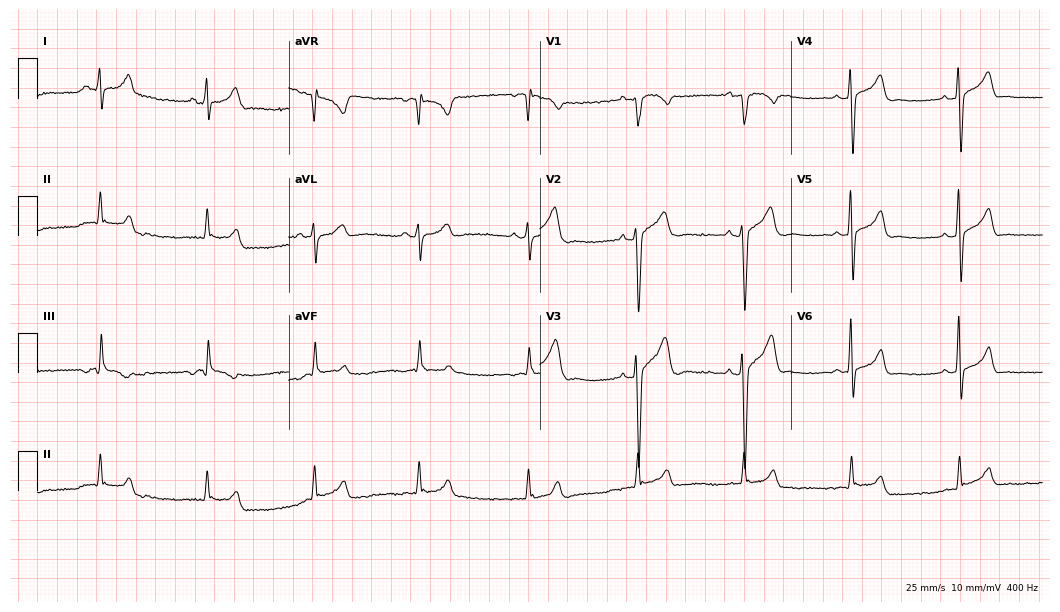
Standard 12-lead ECG recorded from a 39-year-old male patient. None of these six findings is recorded: first-degree AV block, right bundle branch block (RBBB), left bundle branch block (LBBB), sinus bradycardia, atrial fibrillation (AF), sinus tachycardia.